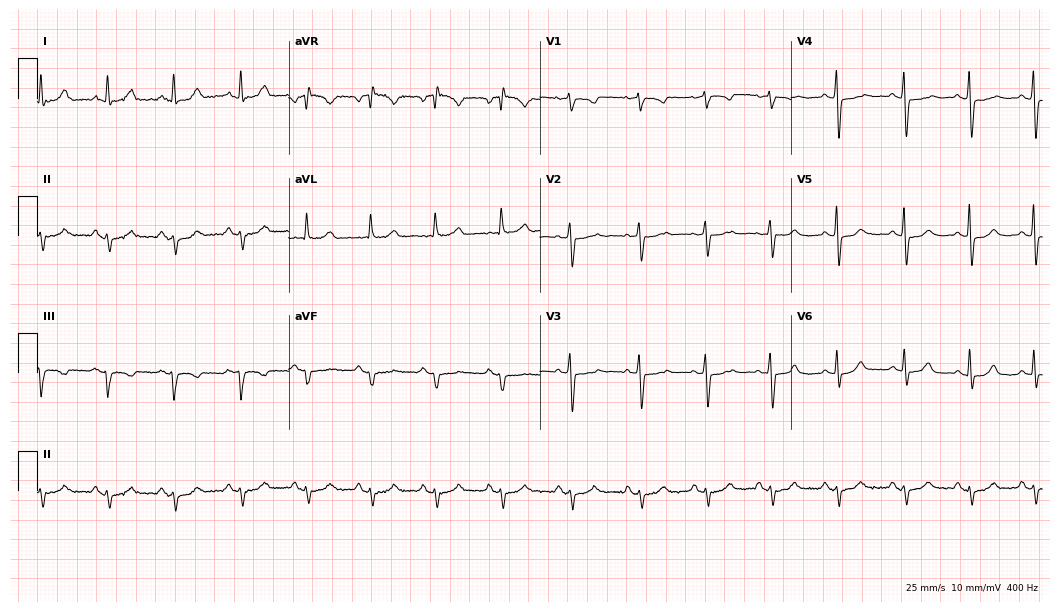
Resting 12-lead electrocardiogram (10.2-second recording at 400 Hz). Patient: a 63-year-old female. None of these six findings is recorded: first-degree AV block, right bundle branch block (RBBB), left bundle branch block (LBBB), sinus bradycardia, atrial fibrillation (AF), sinus tachycardia. Other findings, if any, are not listed.